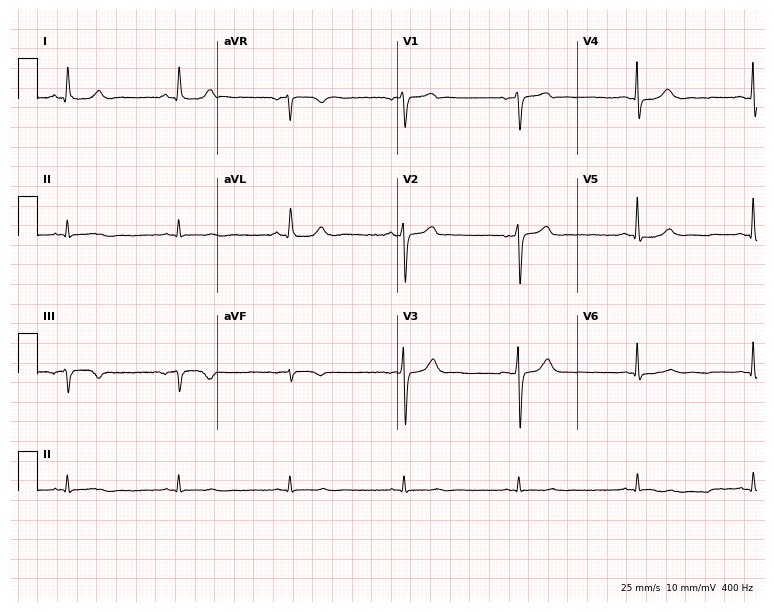
Standard 12-lead ECG recorded from a 76-year-old male. None of these six findings is recorded: first-degree AV block, right bundle branch block, left bundle branch block, sinus bradycardia, atrial fibrillation, sinus tachycardia. Findings outside these six are not listed.